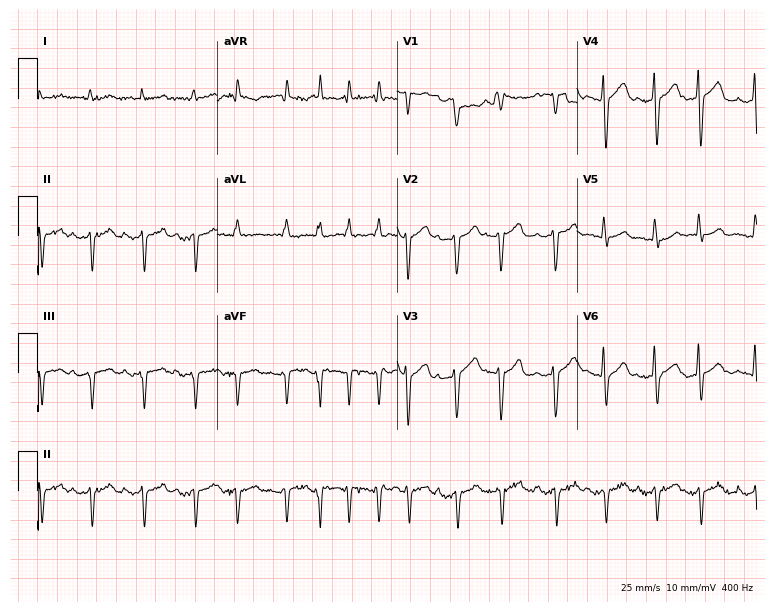
Standard 12-lead ECG recorded from a 77-year-old male. The tracing shows sinus tachycardia (a sinus rate of 100 beats per minute or more).